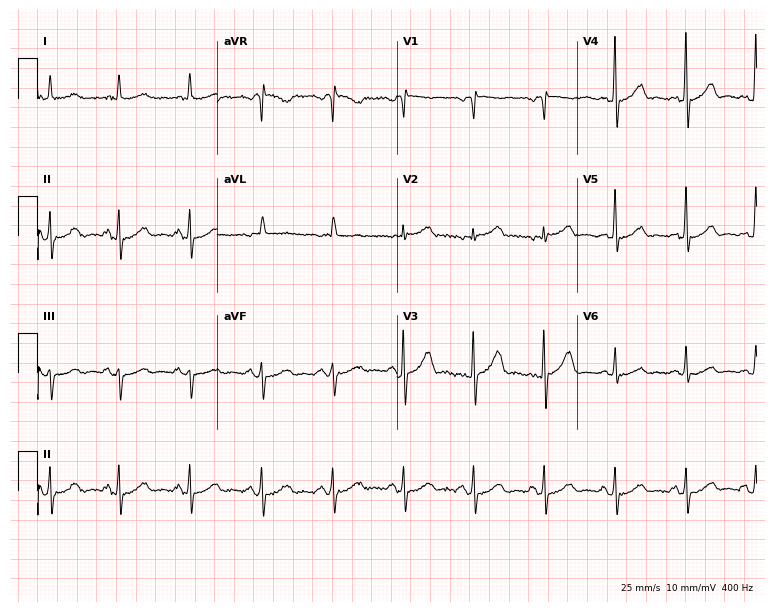
Electrocardiogram (7.3-second recording at 400 Hz), a 64-year-old male. Of the six screened findings (first-degree AV block, right bundle branch block (RBBB), left bundle branch block (LBBB), sinus bradycardia, atrial fibrillation (AF), sinus tachycardia), none is recorded.